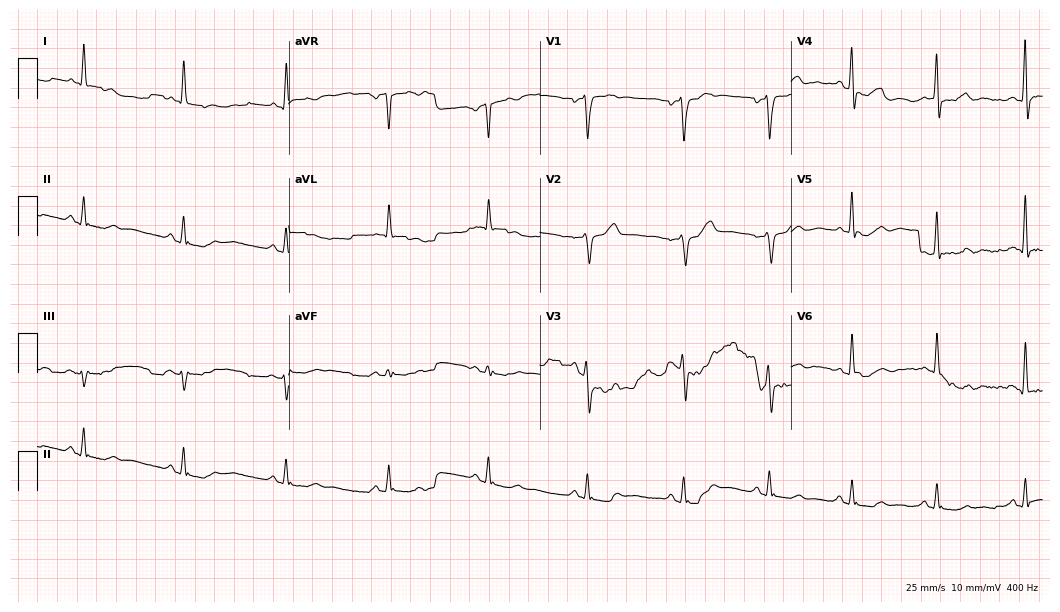
Electrocardiogram, a male, 66 years old. Overall reading on record: normal ECG.